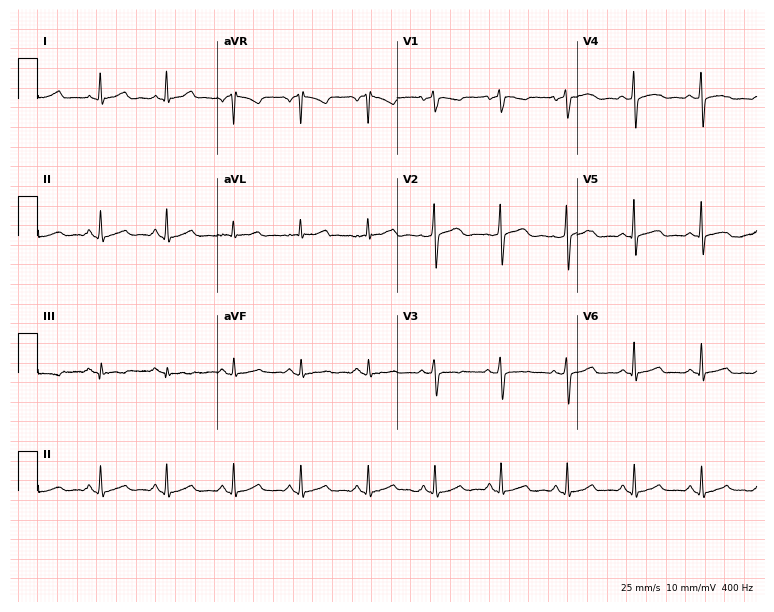
12-lead ECG from a 62-year-old woman. Recorded interpretation: within normal limits.